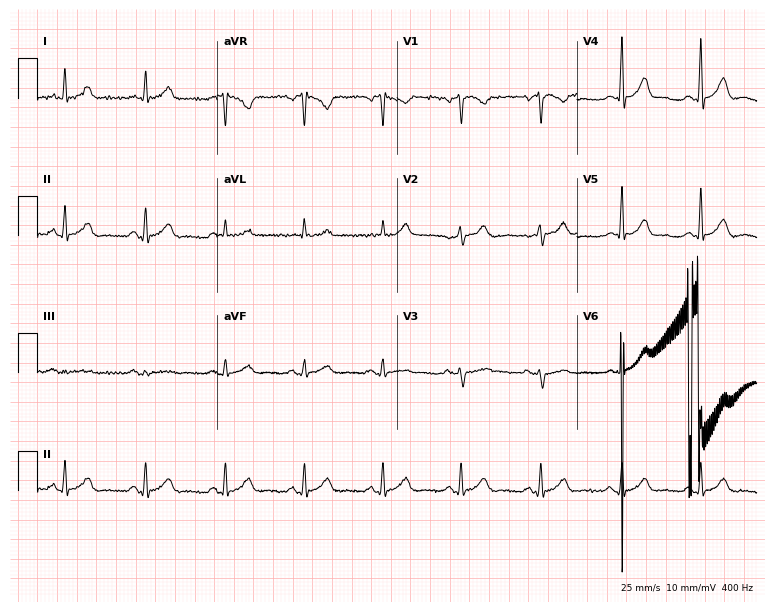
12-lead ECG from a male, 52 years old. Recorded interpretation: within normal limits.